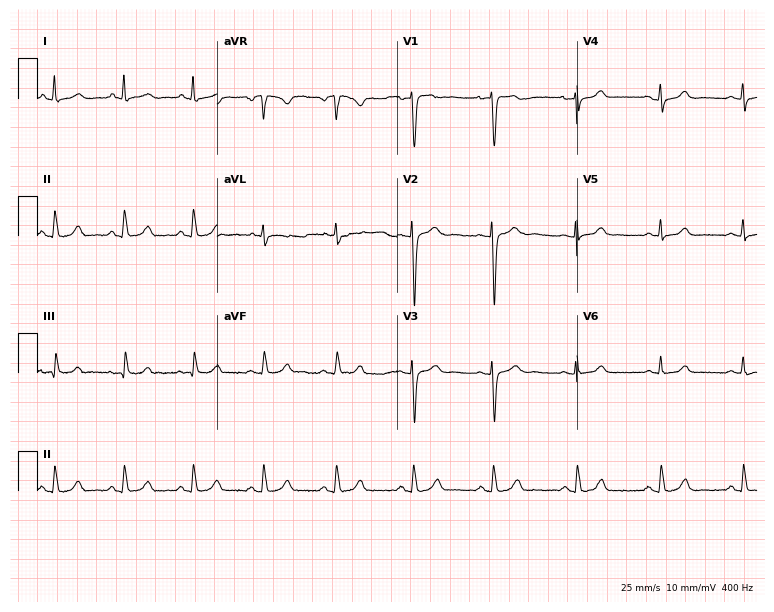
12-lead ECG from a 41-year-old woman. Labelled as a normal ECG.